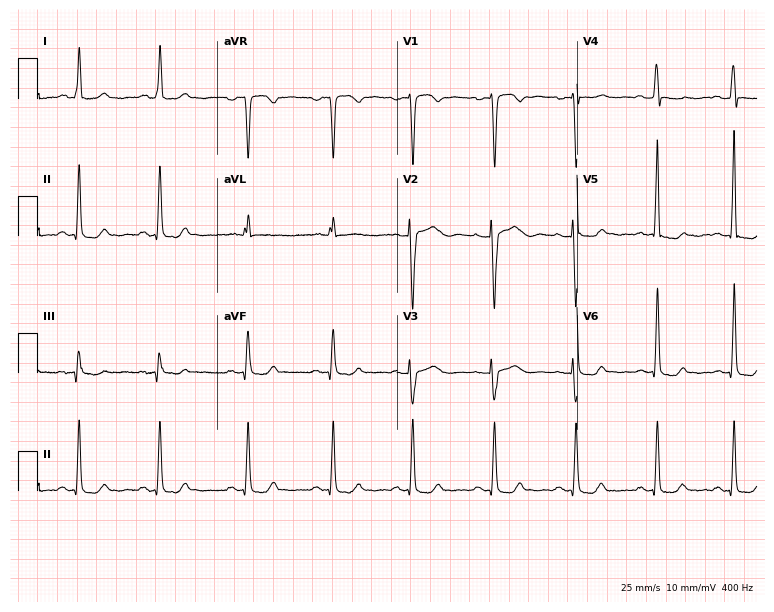
12-lead ECG (7.3-second recording at 400 Hz) from a 44-year-old female patient. Screened for six findings — first-degree AV block, right bundle branch block, left bundle branch block, sinus bradycardia, atrial fibrillation, sinus tachycardia — none is recorded.